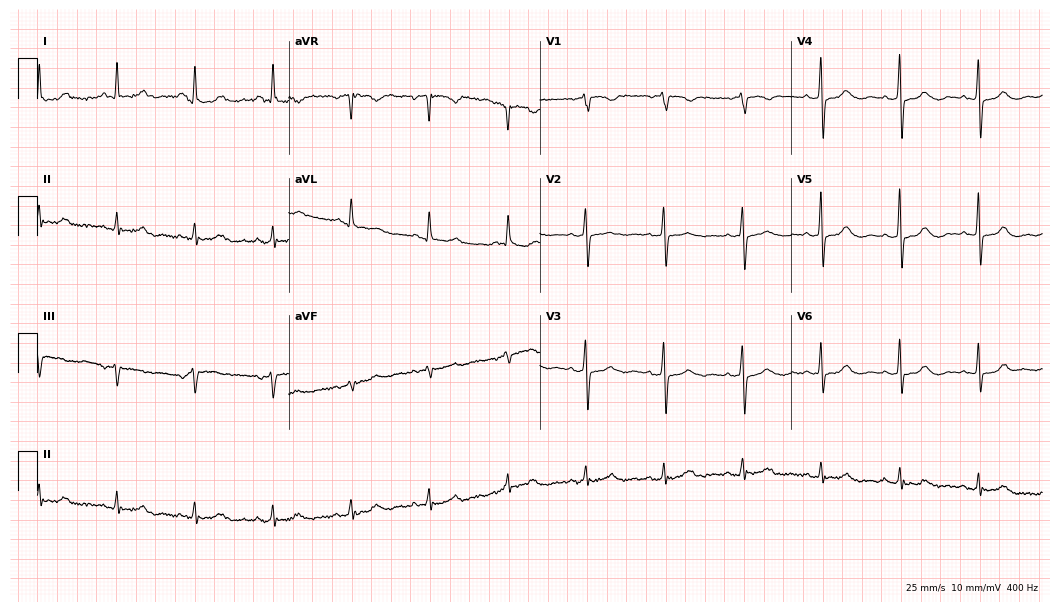
12-lead ECG from a 75-year-old female patient (10.2-second recording at 400 Hz). Recorded interpretation: within normal limits.